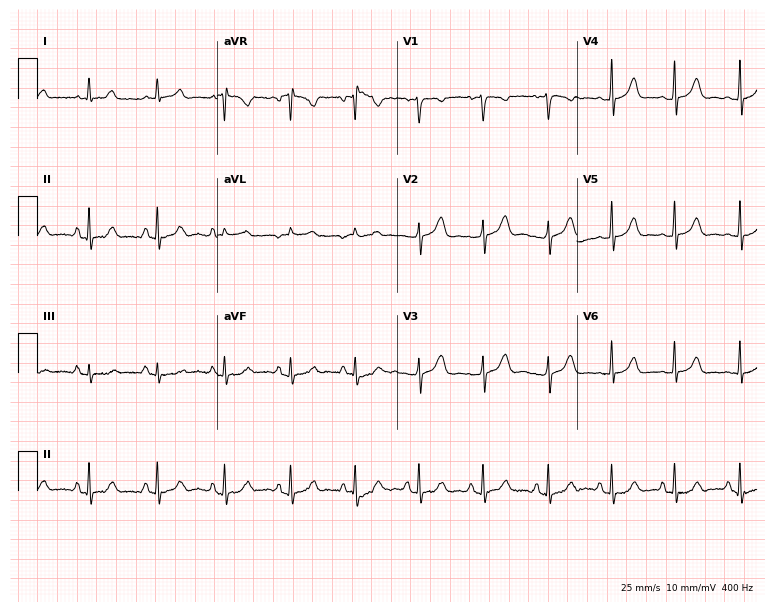
Electrocardiogram (7.3-second recording at 400 Hz), a female patient, 29 years old. Overall reading on record: normal ECG.